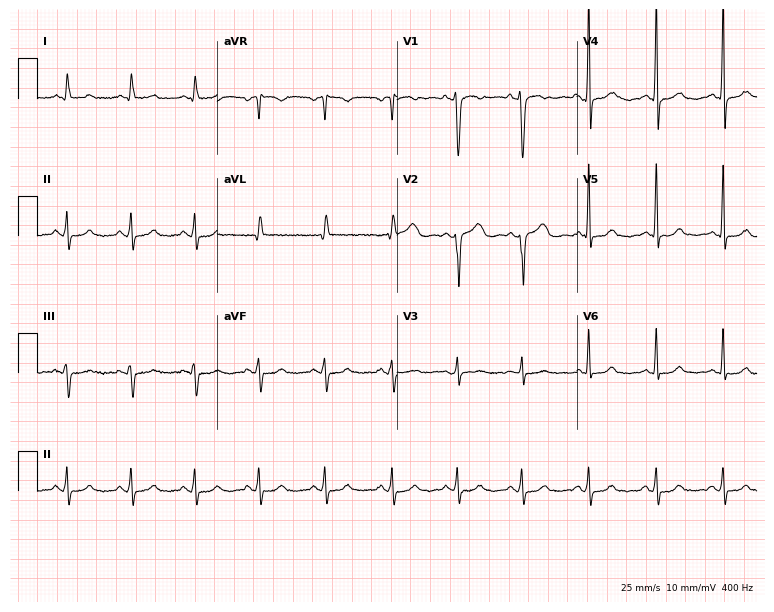
ECG — a 30-year-old female patient. Screened for six findings — first-degree AV block, right bundle branch block, left bundle branch block, sinus bradycardia, atrial fibrillation, sinus tachycardia — none is recorded.